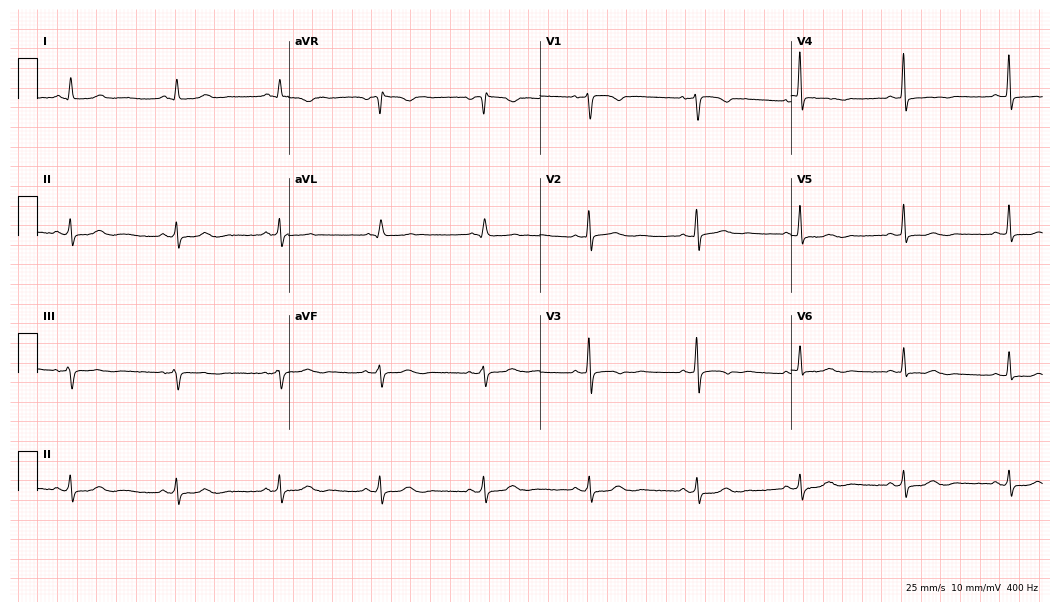
Electrocardiogram, a woman, 57 years old. Of the six screened findings (first-degree AV block, right bundle branch block, left bundle branch block, sinus bradycardia, atrial fibrillation, sinus tachycardia), none is recorded.